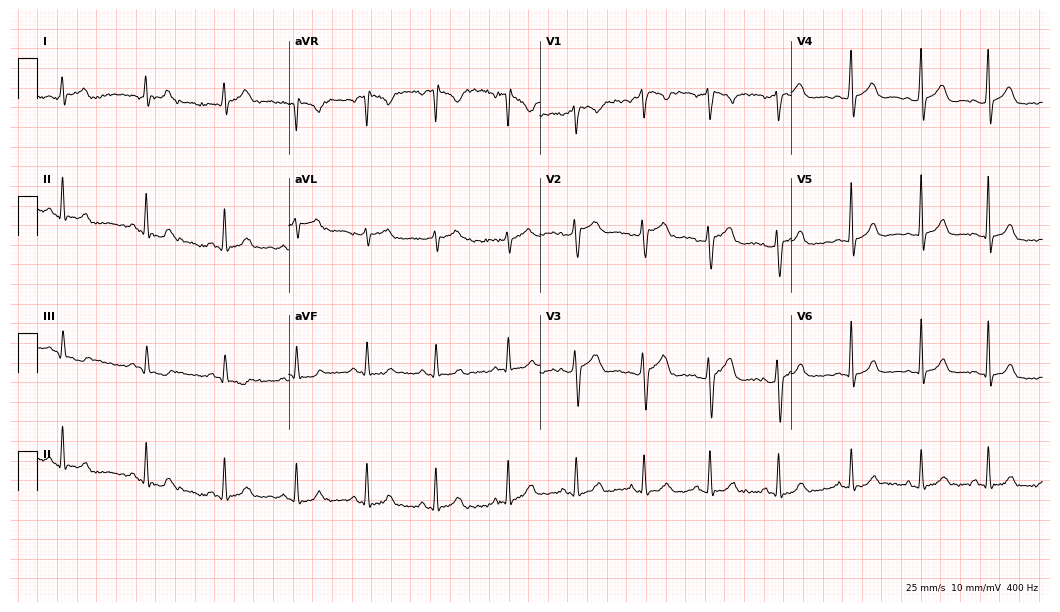
12-lead ECG from a 26-year-old female patient (10.2-second recording at 400 Hz). Recorded interpretation: within normal limits.